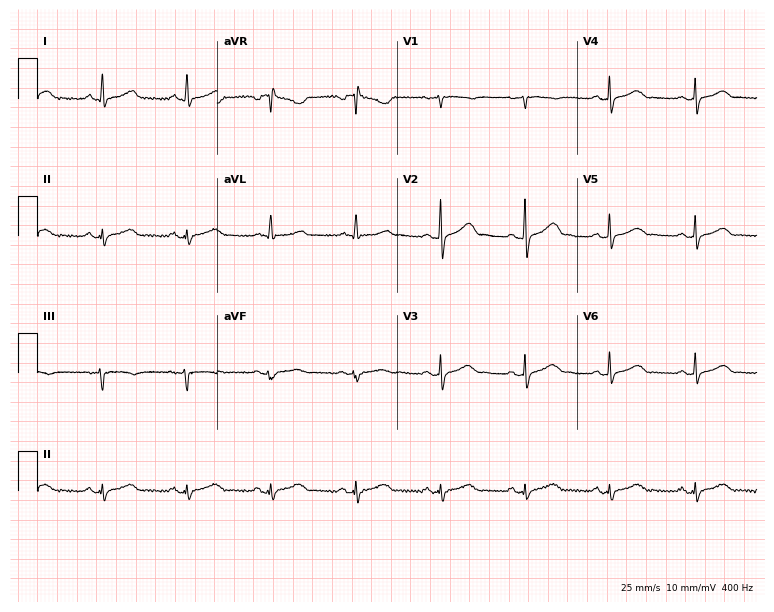
ECG — a female, 64 years old. Labelled as a normal ECG.